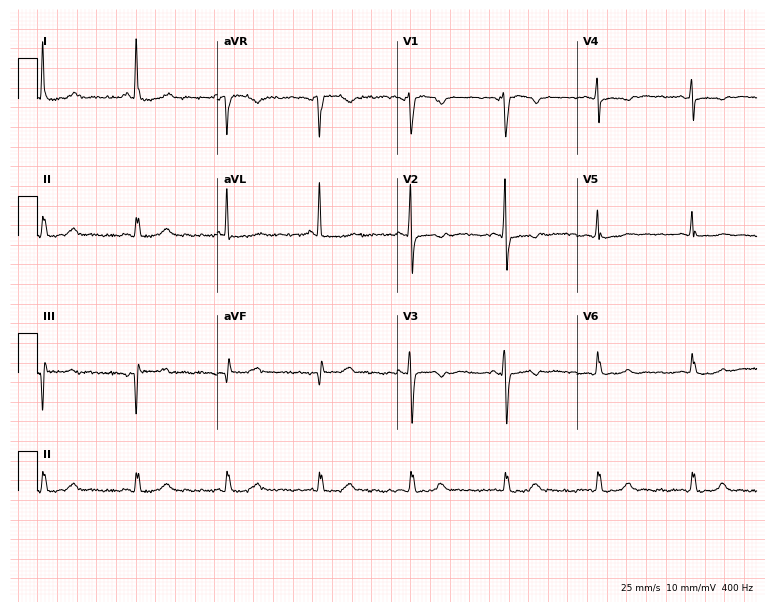
12-lead ECG from a 75-year-old woman (7.3-second recording at 400 Hz). No first-degree AV block, right bundle branch block, left bundle branch block, sinus bradycardia, atrial fibrillation or sinus tachycardia recorded for this tracing. Only these six findings were labelled.